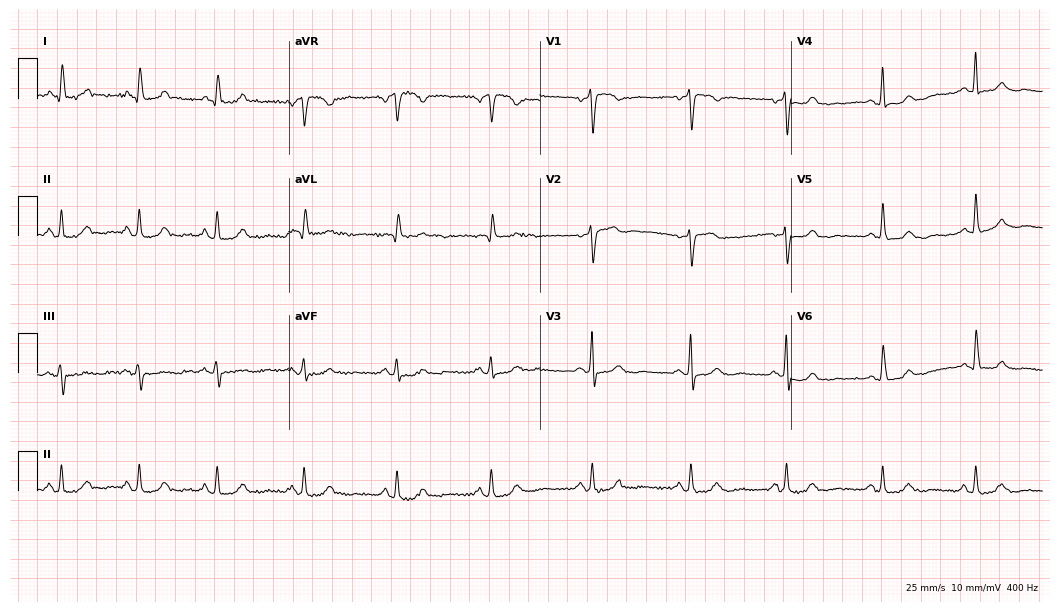
Resting 12-lead electrocardiogram. Patient: a woman, 73 years old. Read as a normal ECG.